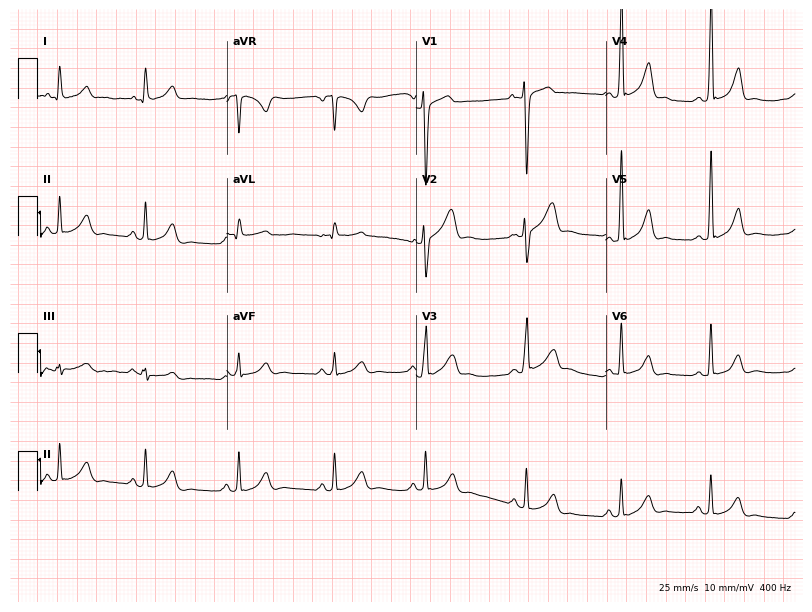
Electrocardiogram, a man, 17 years old. Of the six screened findings (first-degree AV block, right bundle branch block, left bundle branch block, sinus bradycardia, atrial fibrillation, sinus tachycardia), none is recorded.